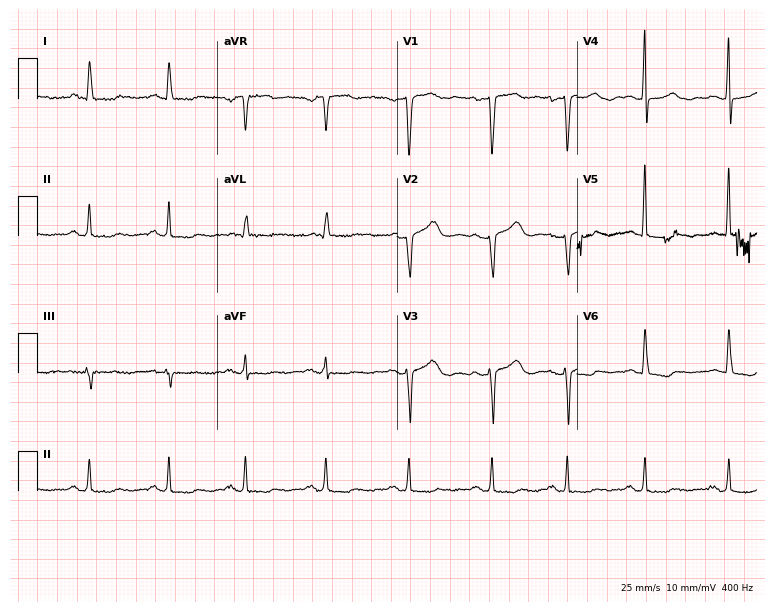
Electrocardiogram (7.3-second recording at 400 Hz), a 41-year-old female patient. Of the six screened findings (first-degree AV block, right bundle branch block (RBBB), left bundle branch block (LBBB), sinus bradycardia, atrial fibrillation (AF), sinus tachycardia), none is recorded.